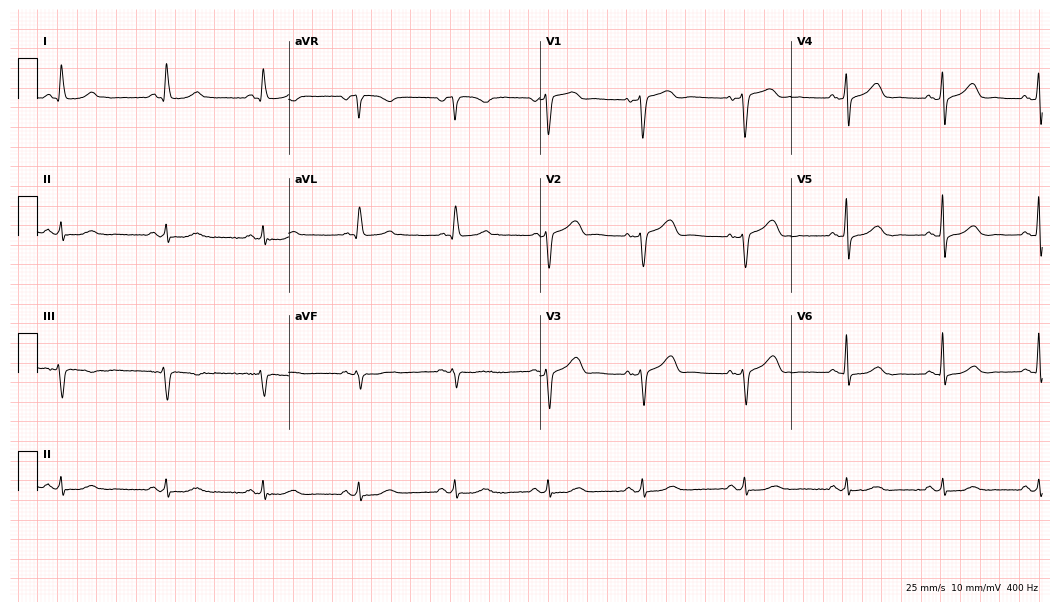
ECG — a female patient, 75 years old. Labelled as a normal ECG.